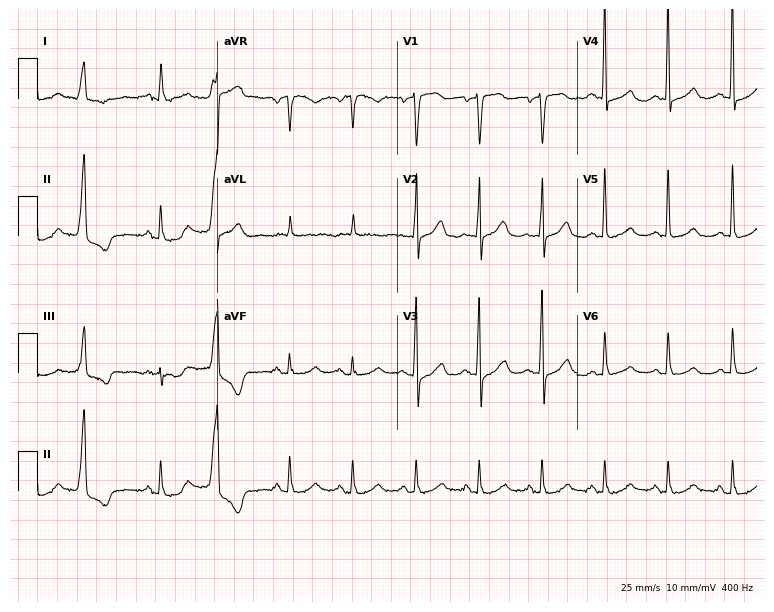
Standard 12-lead ECG recorded from a female patient, 82 years old. None of these six findings is recorded: first-degree AV block, right bundle branch block, left bundle branch block, sinus bradycardia, atrial fibrillation, sinus tachycardia.